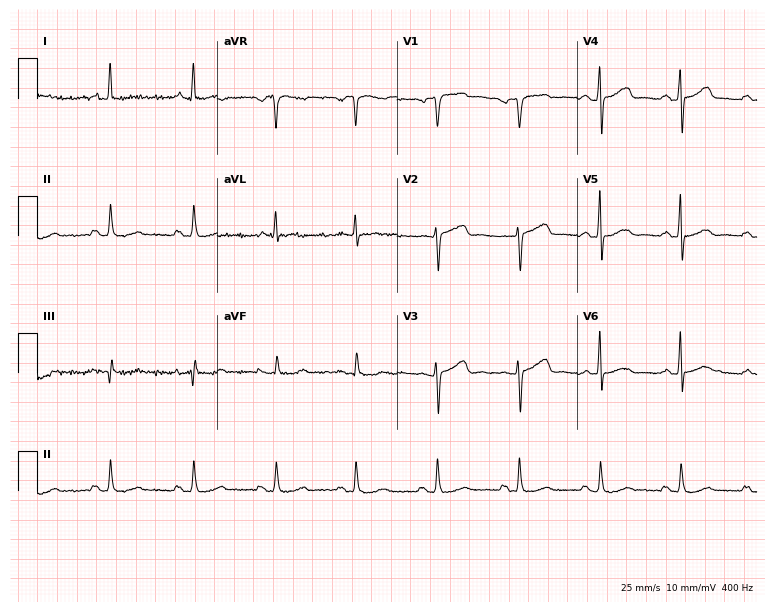
Standard 12-lead ECG recorded from a female patient, 61 years old (7.3-second recording at 400 Hz). Read as a normal ECG.